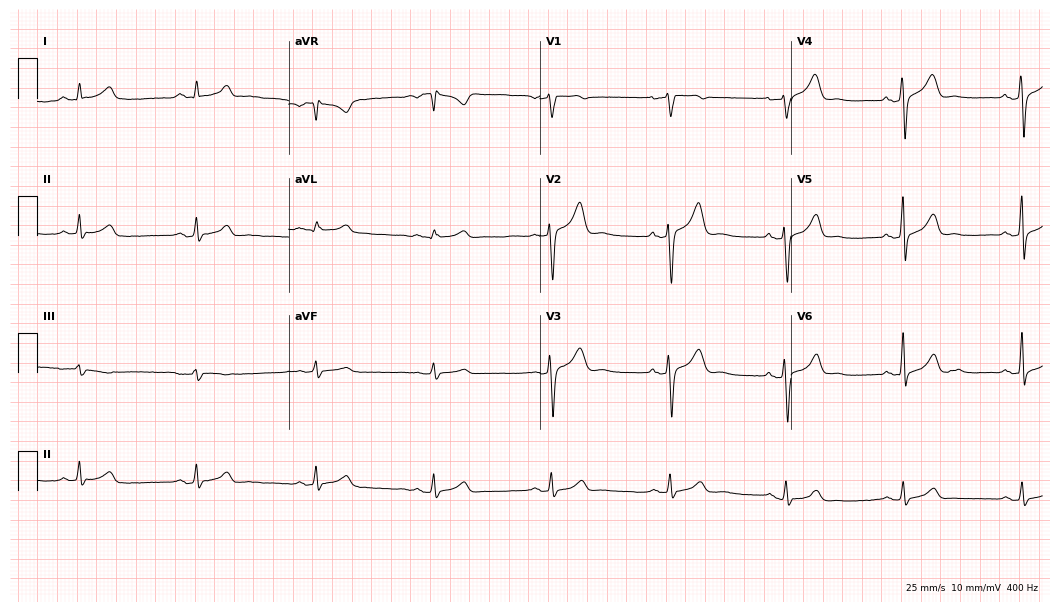
ECG — a 45-year-old man. Labelled as a normal ECG.